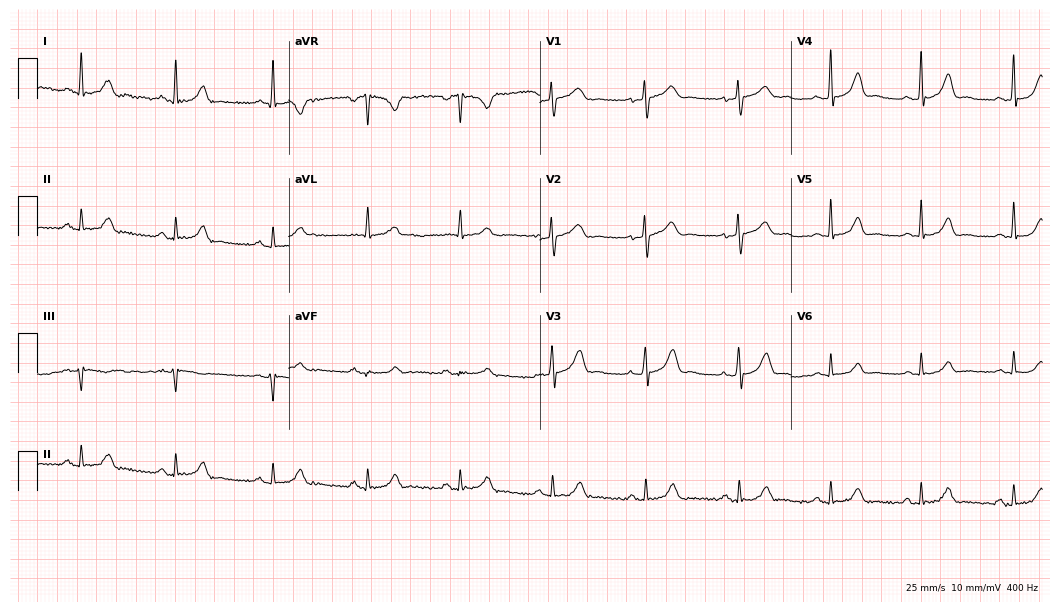
Standard 12-lead ECG recorded from a 59-year-old woman. Read as a normal ECG.